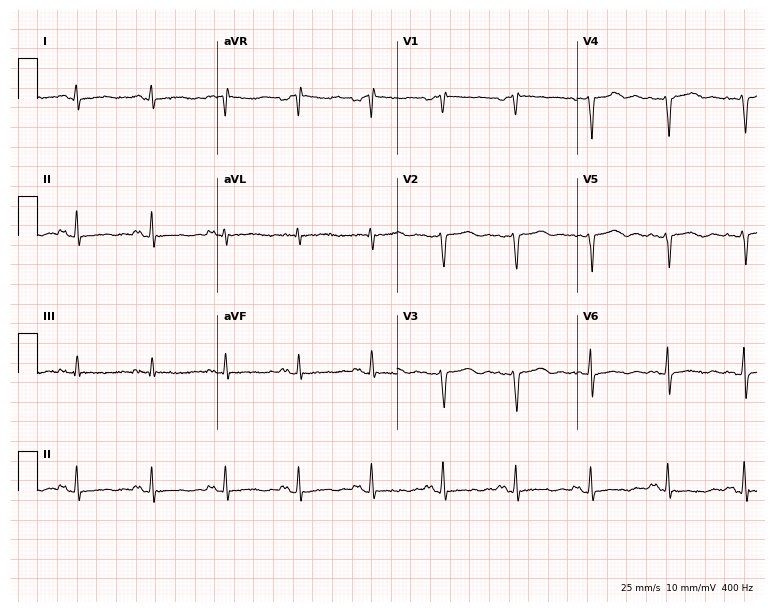
12-lead ECG from a female patient, 45 years old. No first-degree AV block, right bundle branch block, left bundle branch block, sinus bradycardia, atrial fibrillation or sinus tachycardia recorded for this tracing.